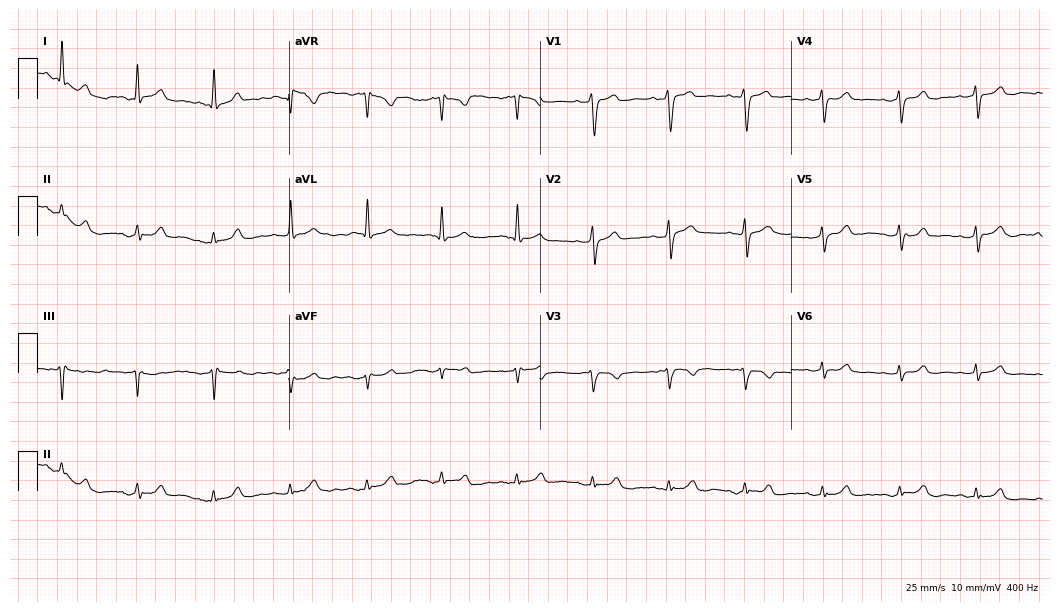
12-lead ECG from a 60-year-old woman. Screened for six findings — first-degree AV block, right bundle branch block (RBBB), left bundle branch block (LBBB), sinus bradycardia, atrial fibrillation (AF), sinus tachycardia — none is recorded.